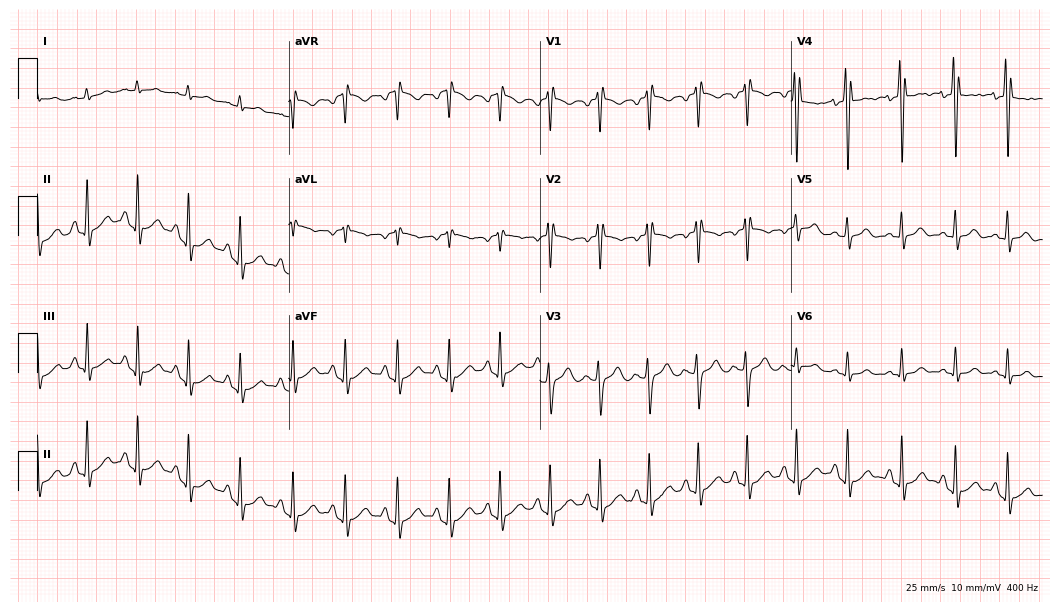
12-lead ECG (10.2-second recording at 400 Hz) from a female patient, 82 years old. Findings include sinus tachycardia (a sinus rate of 100 beats per minute or more).